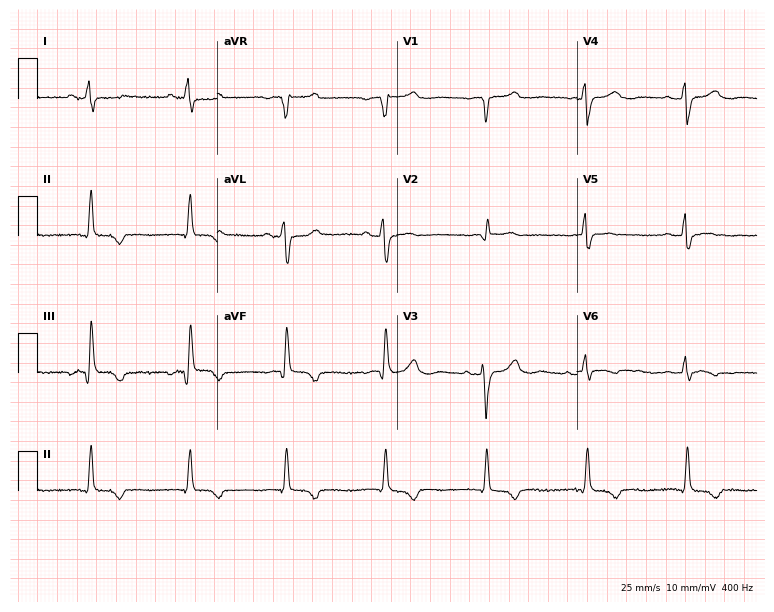
Resting 12-lead electrocardiogram. Patient: a 76-year-old female. None of these six findings is recorded: first-degree AV block, right bundle branch block (RBBB), left bundle branch block (LBBB), sinus bradycardia, atrial fibrillation (AF), sinus tachycardia. Only these six findings were labelled.